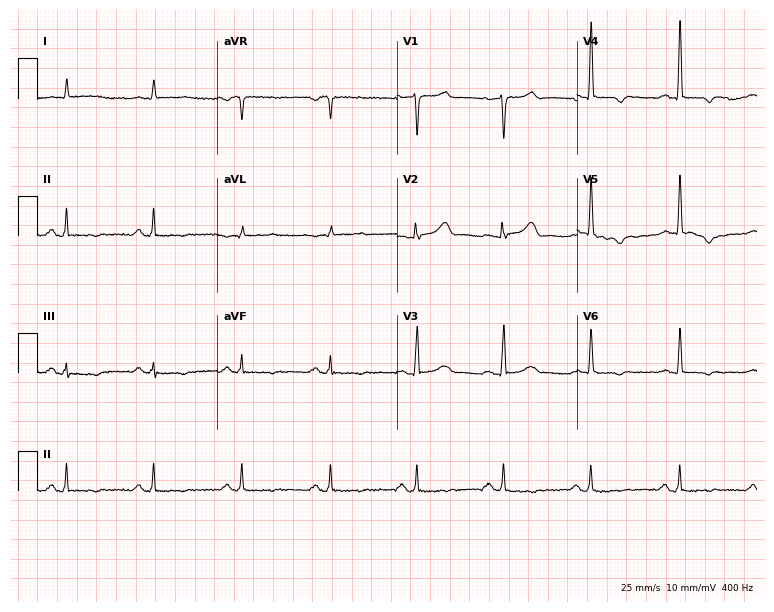
12-lead ECG (7.3-second recording at 400 Hz) from a 58-year-old male patient. Screened for six findings — first-degree AV block, right bundle branch block, left bundle branch block, sinus bradycardia, atrial fibrillation, sinus tachycardia — none is recorded. Only these six findings were labelled.